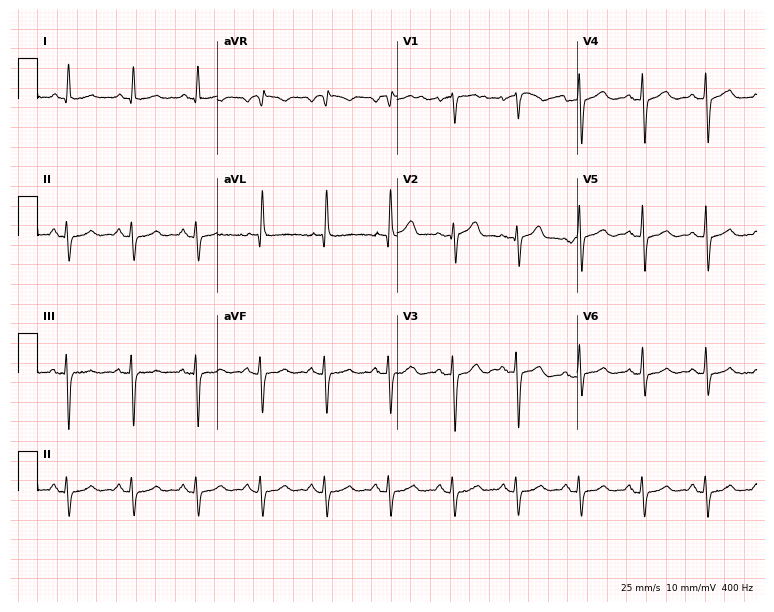
Electrocardiogram (7.3-second recording at 400 Hz), a man, 77 years old. Of the six screened findings (first-degree AV block, right bundle branch block (RBBB), left bundle branch block (LBBB), sinus bradycardia, atrial fibrillation (AF), sinus tachycardia), none is recorded. Other findings, if any, are not listed.